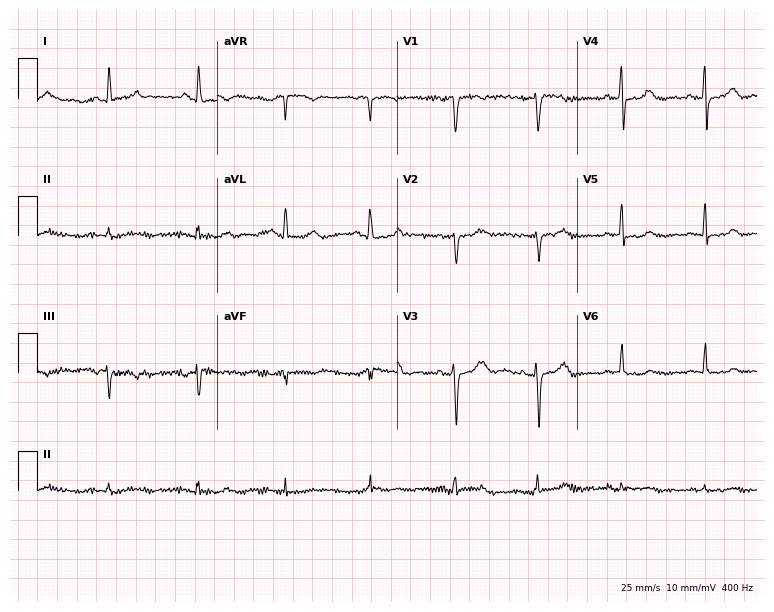
12-lead ECG from a 60-year-old female. No first-degree AV block, right bundle branch block, left bundle branch block, sinus bradycardia, atrial fibrillation or sinus tachycardia recorded for this tracing. Other findings, if any, are not listed.